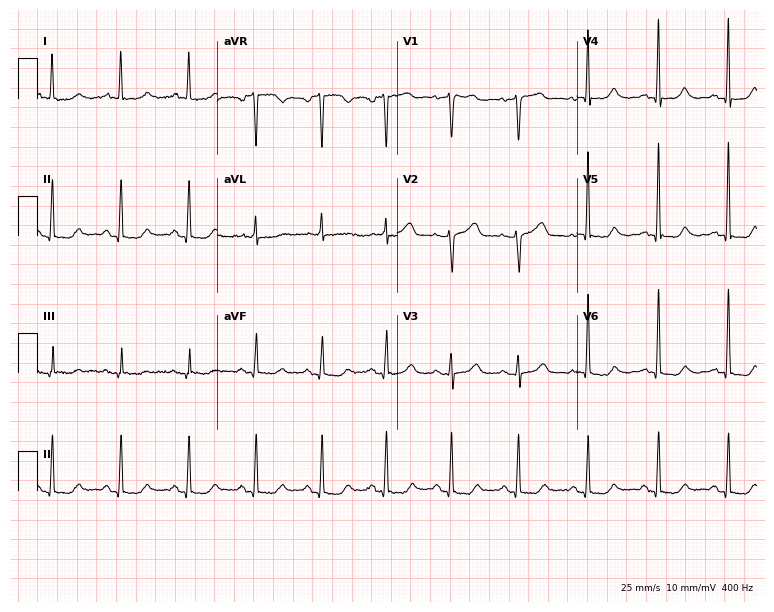
Electrocardiogram (7.3-second recording at 400 Hz), a female patient, 72 years old. Of the six screened findings (first-degree AV block, right bundle branch block, left bundle branch block, sinus bradycardia, atrial fibrillation, sinus tachycardia), none is recorded.